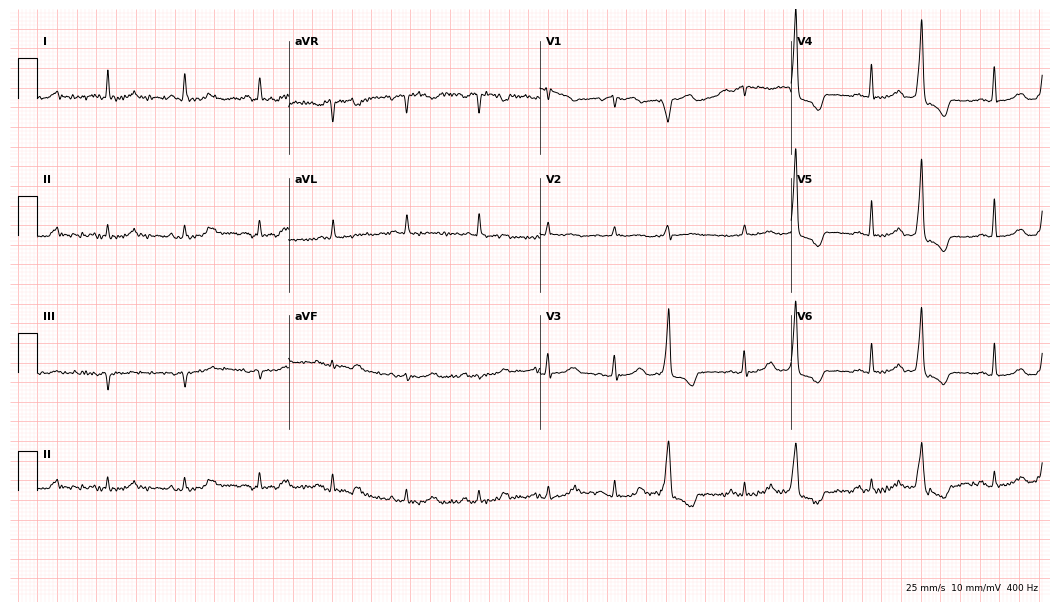
Resting 12-lead electrocardiogram (10.2-second recording at 400 Hz). Patient: a woman, 64 years old. None of these six findings is recorded: first-degree AV block, right bundle branch block (RBBB), left bundle branch block (LBBB), sinus bradycardia, atrial fibrillation (AF), sinus tachycardia. Findings outside these six are not listed.